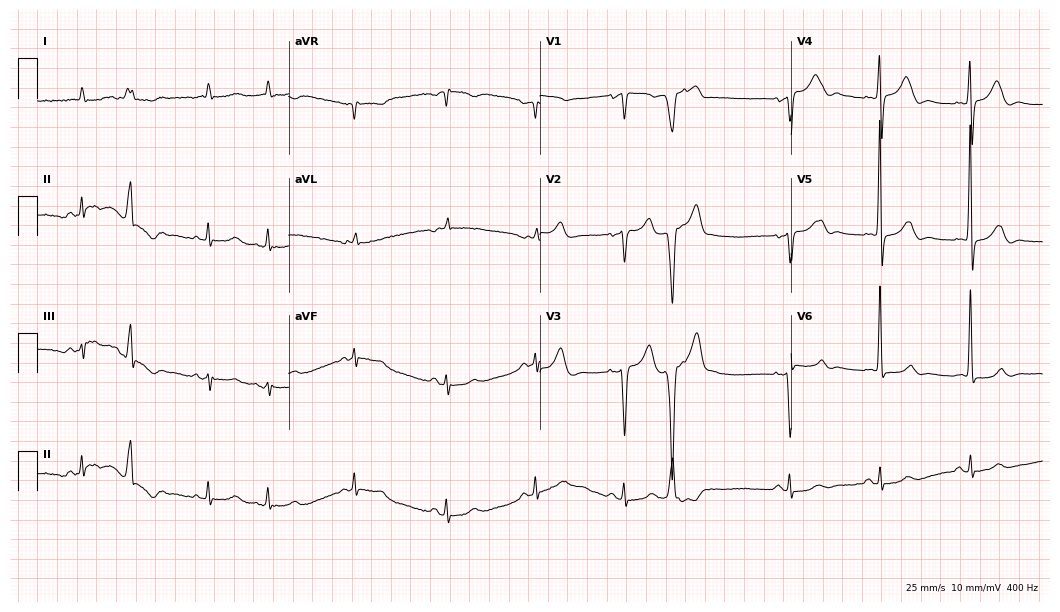
12-lead ECG (10.2-second recording at 400 Hz) from a man, 79 years old. Screened for six findings — first-degree AV block, right bundle branch block, left bundle branch block, sinus bradycardia, atrial fibrillation, sinus tachycardia — none is recorded. Other findings, if any, are not listed.